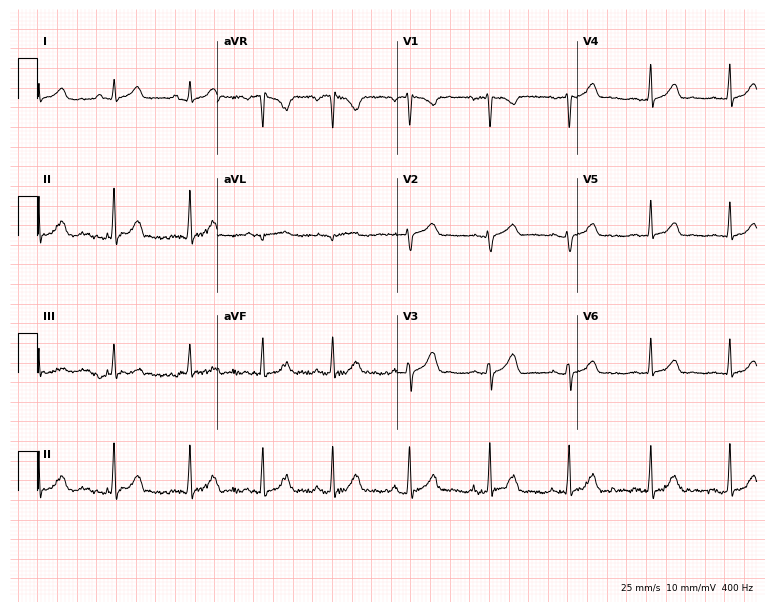
ECG — a 21-year-old woman. Labelled as a normal ECG.